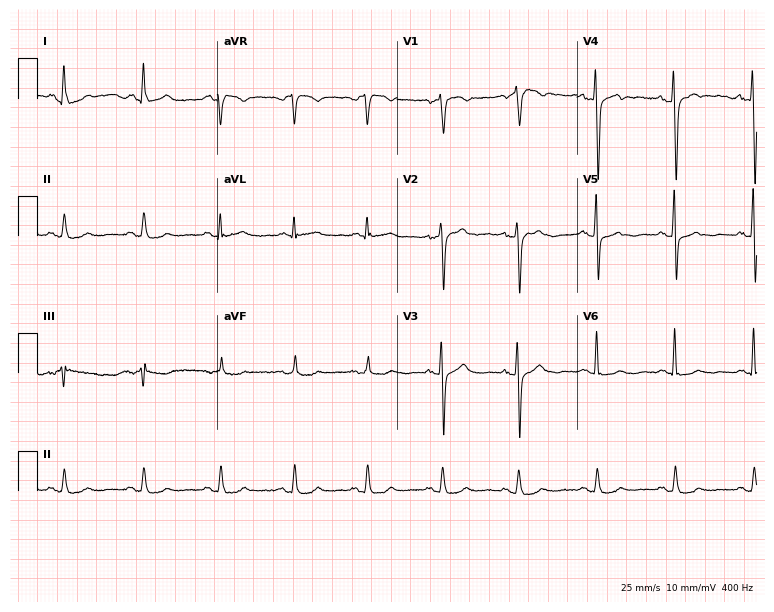
Standard 12-lead ECG recorded from a female patient, 58 years old. Read as a normal ECG.